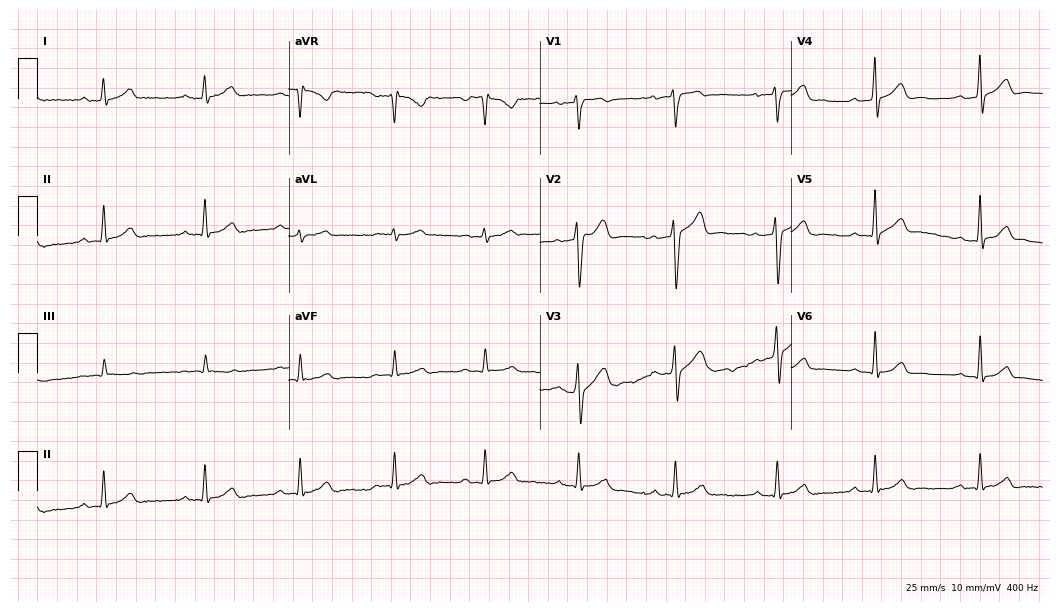
ECG (10.2-second recording at 400 Hz) — a male patient, 34 years old. Labelled as a normal ECG.